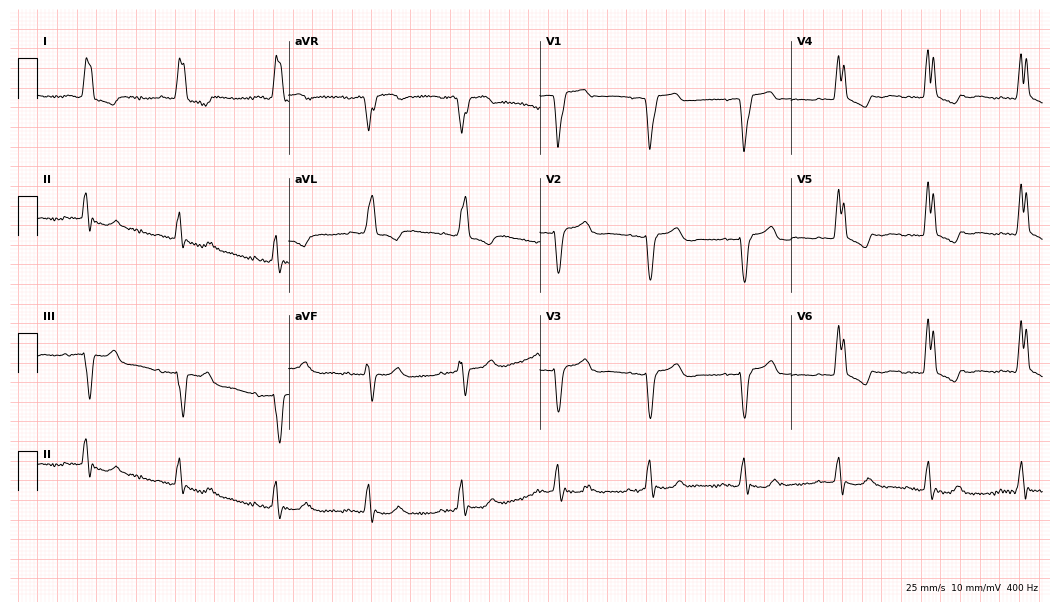
Electrocardiogram, a 69-year-old female. Interpretation includes left bundle branch block.